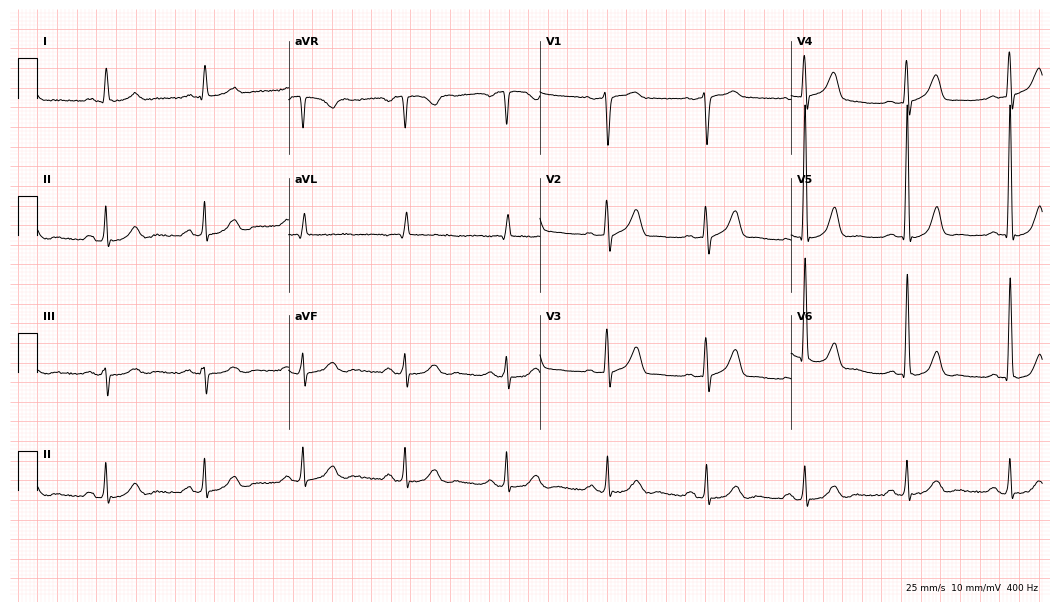
12-lead ECG (10.2-second recording at 400 Hz) from a man, 61 years old. Screened for six findings — first-degree AV block, right bundle branch block, left bundle branch block, sinus bradycardia, atrial fibrillation, sinus tachycardia — none is recorded. Only these six findings were labelled.